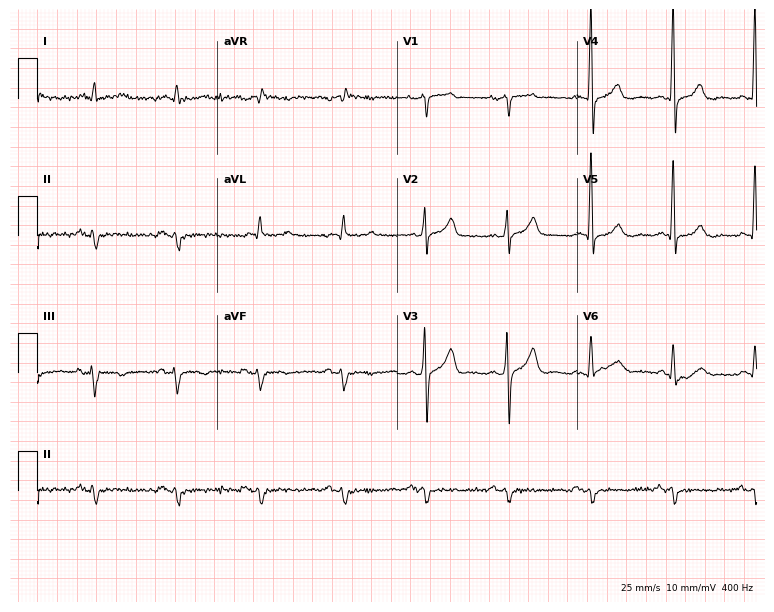
Electrocardiogram (7.3-second recording at 400 Hz), an 82-year-old man. Of the six screened findings (first-degree AV block, right bundle branch block, left bundle branch block, sinus bradycardia, atrial fibrillation, sinus tachycardia), none is recorded.